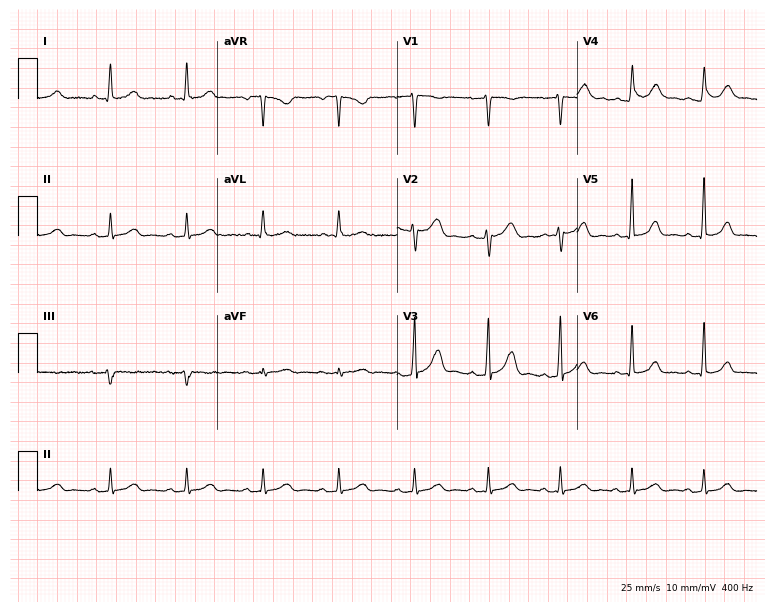
Electrocardiogram (7.3-second recording at 400 Hz), a woman, 42 years old. Overall reading on record: normal ECG.